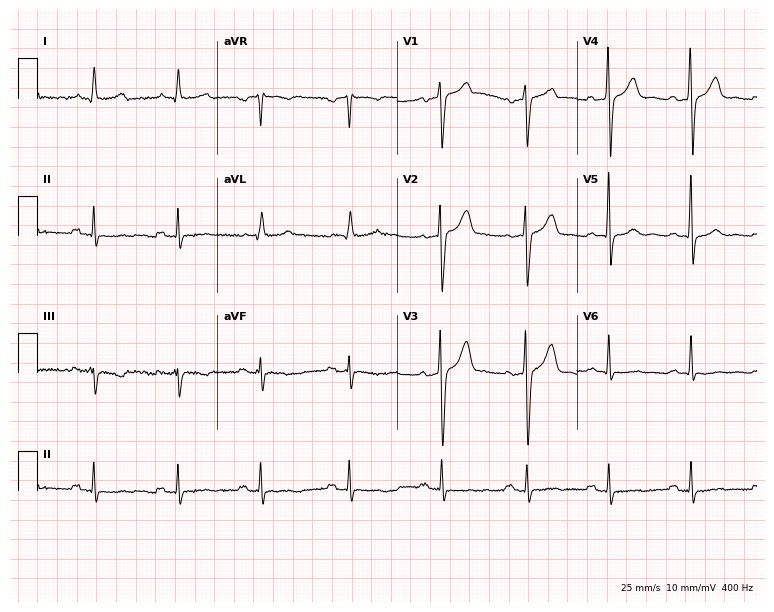
ECG (7.3-second recording at 400 Hz) — a male patient, 42 years old. Screened for six findings — first-degree AV block, right bundle branch block, left bundle branch block, sinus bradycardia, atrial fibrillation, sinus tachycardia — none is recorded. Findings outside these six are not listed.